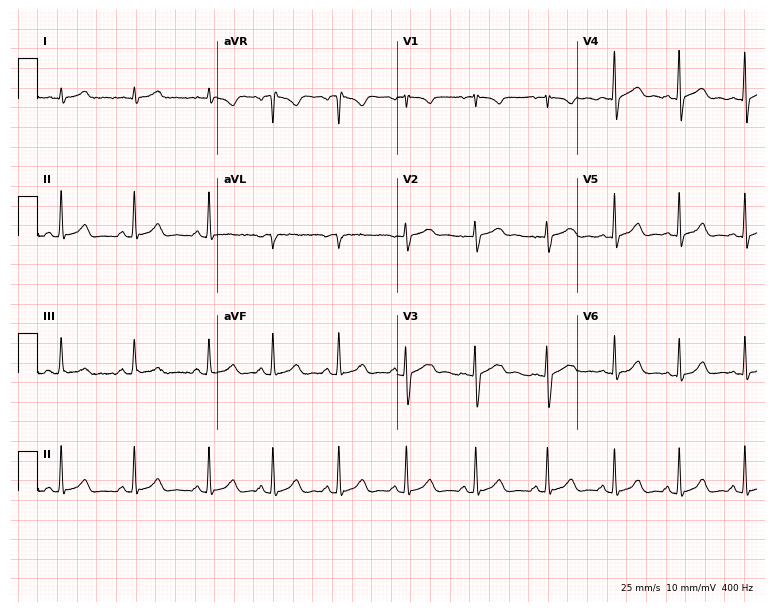
12-lead ECG from a female patient, 26 years old. Labelled as a normal ECG.